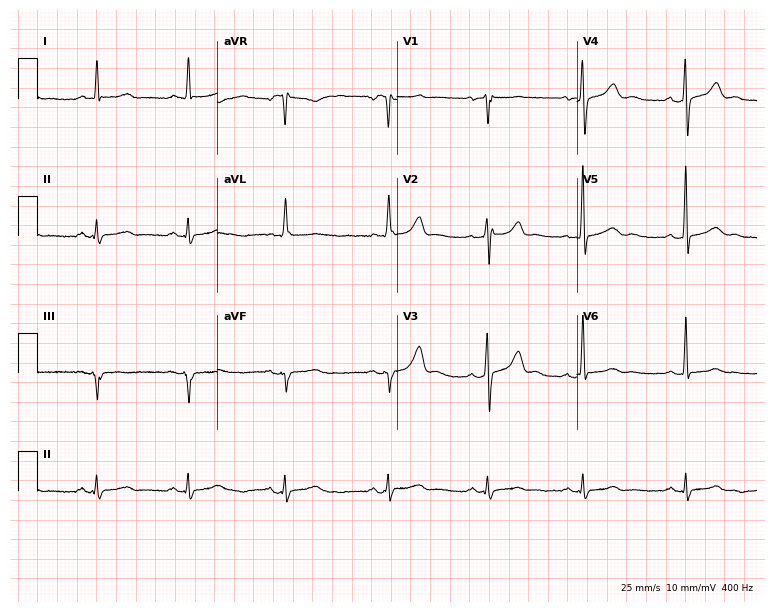
ECG — a man, 45 years old. Screened for six findings — first-degree AV block, right bundle branch block, left bundle branch block, sinus bradycardia, atrial fibrillation, sinus tachycardia — none is recorded. Other findings, if any, are not listed.